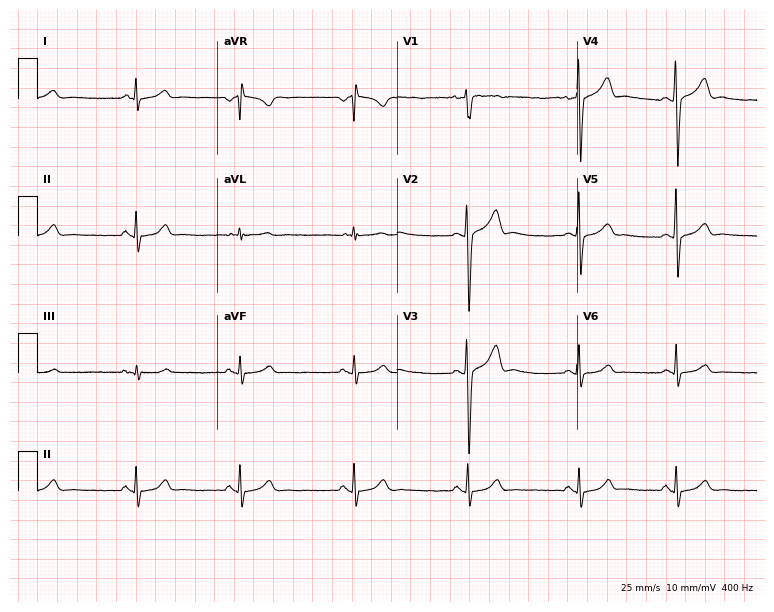
Resting 12-lead electrocardiogram. Patient: a man, 21 years old. None of these six findings is recorded: first-degree AV block, right bundle branch block, left bundle branch block, sinus bradycardia, atrial fibrillation, sinus tachycardia.